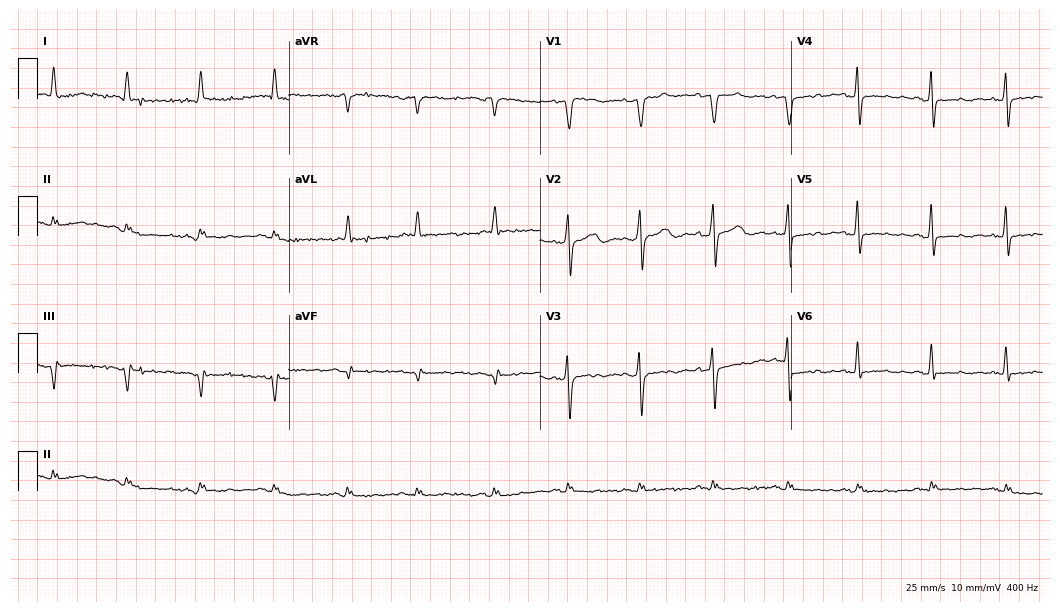
Standard 12-lead ECG recorded from a man, 79 years old (10.2-second recording at 400 Hz). None of these six findings is recorded: first-degree AV block, right bundle branch block, left bundle branch block, sinus bradycardia, atrial fibrillation, sinus tachycardia.